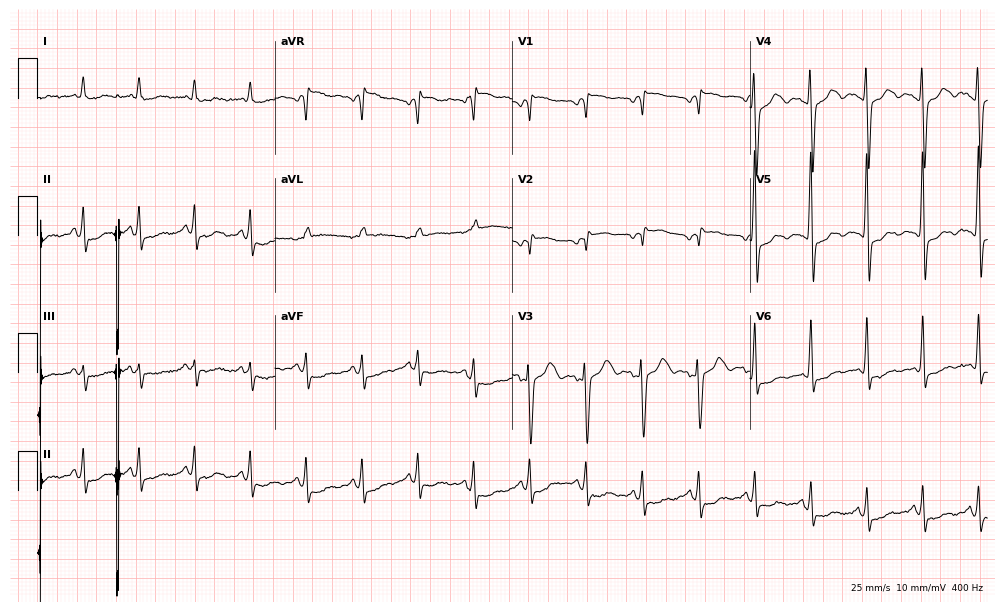
12-lead ECG from a 55-year-old female. No first-degree AV block, right bundle branch block, left bundle branch block, sinus bradycardia, atrial fibrillation or sinus tachycardia recorded for this tracing. Only these six findings were labelled.